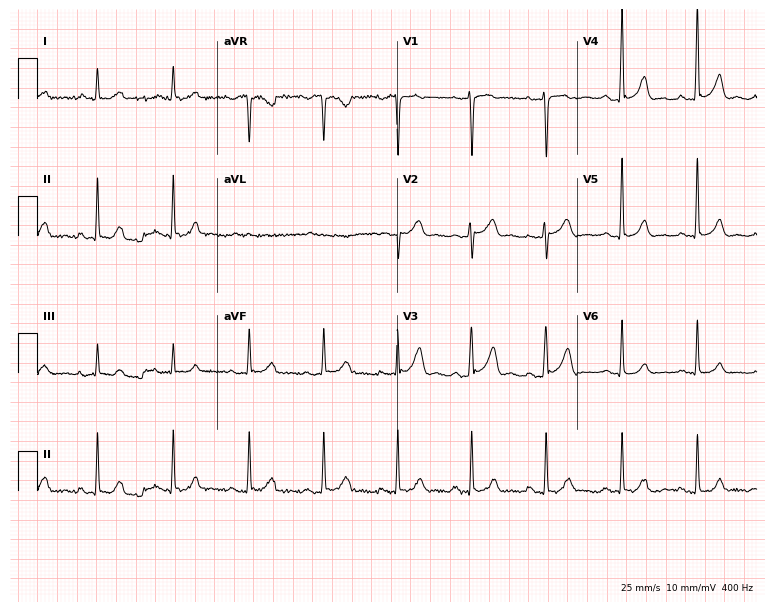
Standard 12-lead ECG recorded from a male, 64 years old (7.3-second recording at 400 Hz). None of these six findings is recorded: first-degree AV block, right bundle branch block, left bundle branch block, sinus bradycardia, atrial fibrillation, sinus tachycardia. Other findings, if any, are not listed.